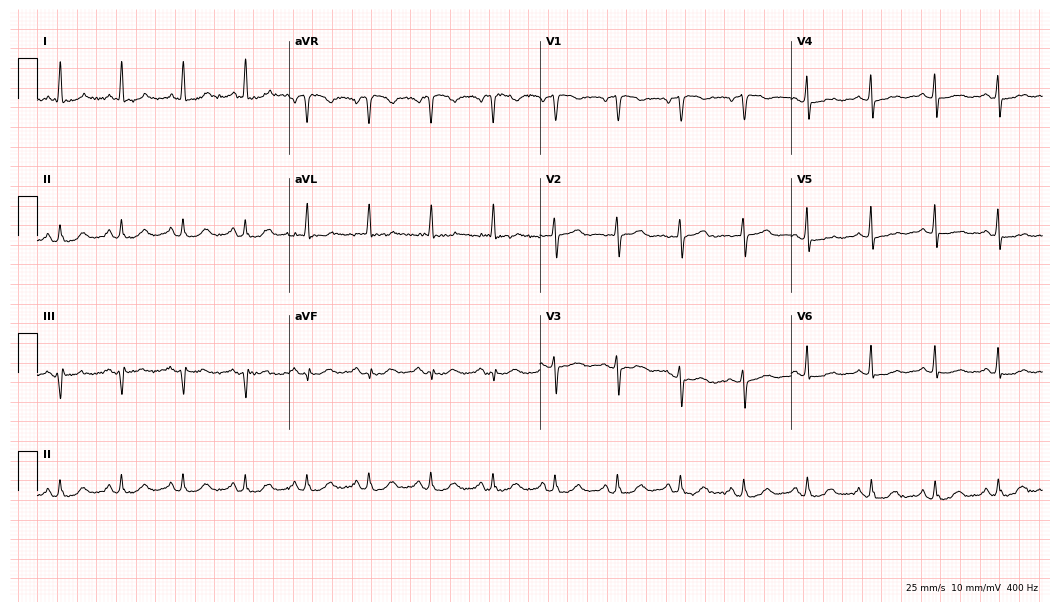
ECG — a female, 73 years old. Screened for six findings — first-degree AV block, right bundle branch block (RBBB), left bundle branch block (LBBB), sinus bradycardia, atrial fibrillation (AF), sinus tachycardia — none is recorded. Other findings, if any, are not listed.